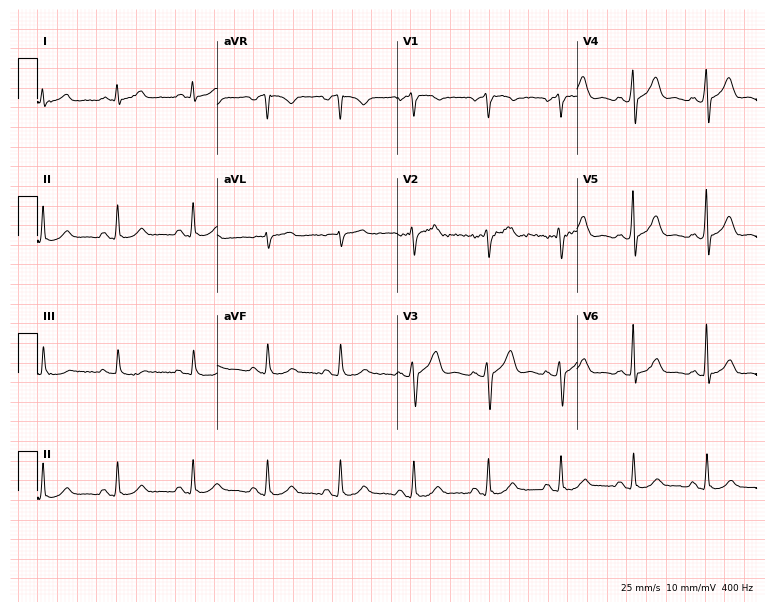
12-lead ECG from a 55-year-old male patient (7.3-second recording at 400 Hz). No first-degree AV block, right bundle branch block, left bundle branch block, sinus bradycardia, atrial fibrillation or sinus tachycardia recorded for this tracing.